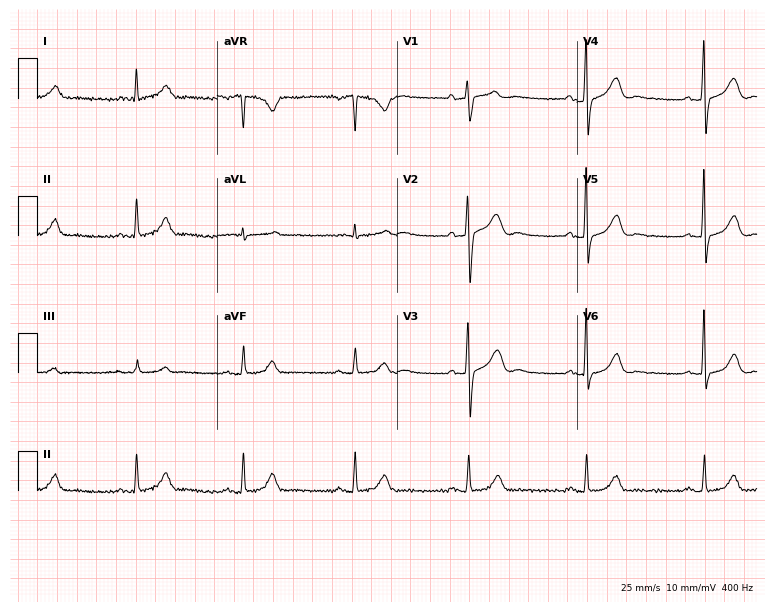
12-lead ECG from a 58-year-old woman. No first-degree AV block, right bundle branch block, left bundle branch block, sinus bradycardia, atrial fibrillation or sinus tachycardia recorded for this tracing. Findings outside these six are not listed.